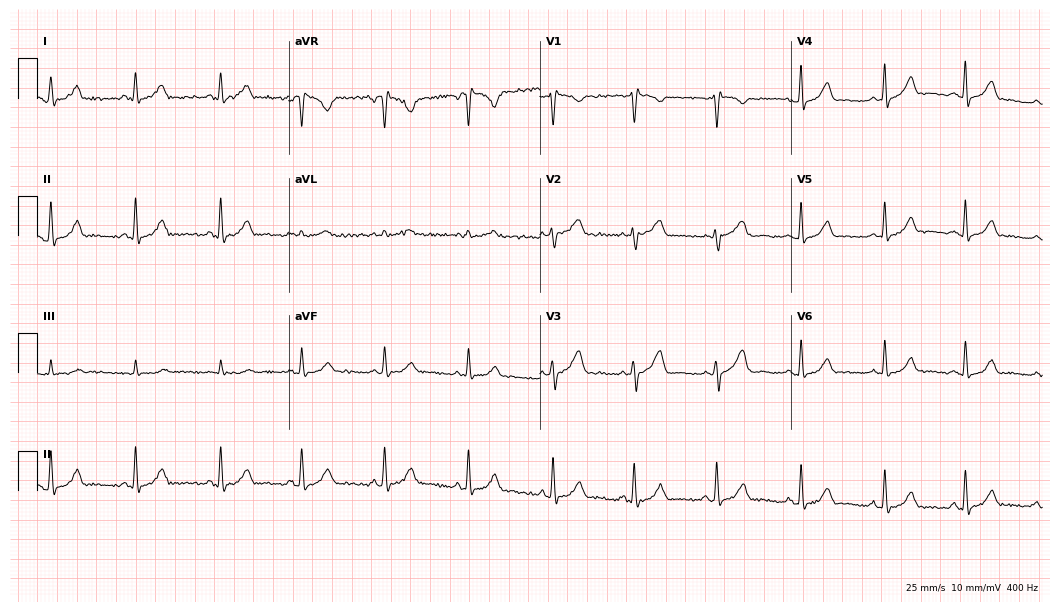
12-lead ECG (10.2-second recording at 400 Hz) from a 38-year-old female. Labelled as a normal ECG.